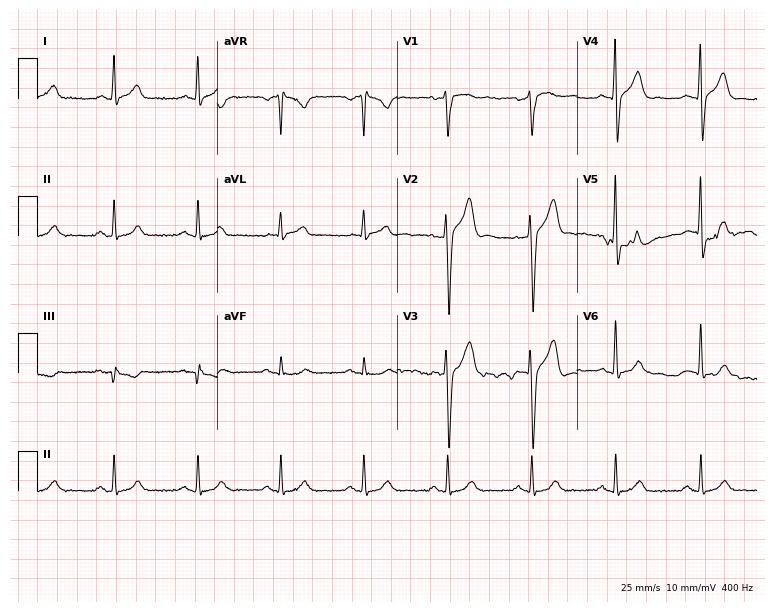
12-lead ECG from a 53-year-old man. No first-degree AV block, right bundle branch block, left bundle branch block, sinus bradycardia, atrial fibrillation or sinus tachycardia recorded for this tracing. Only these six findings were labelled.